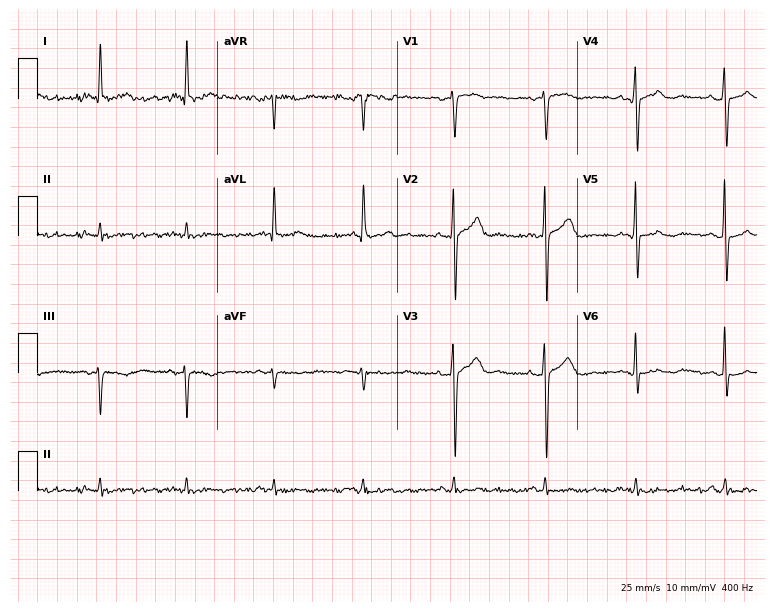
12-lead ECG from a male, 80 years old. No first-degree AV block, right bundle branch block (RBBB), left bundle branch block (LBBB), sinus bradycardia, atrial fibrillation (AF) or sinus tachycardia recorded for this tracing.